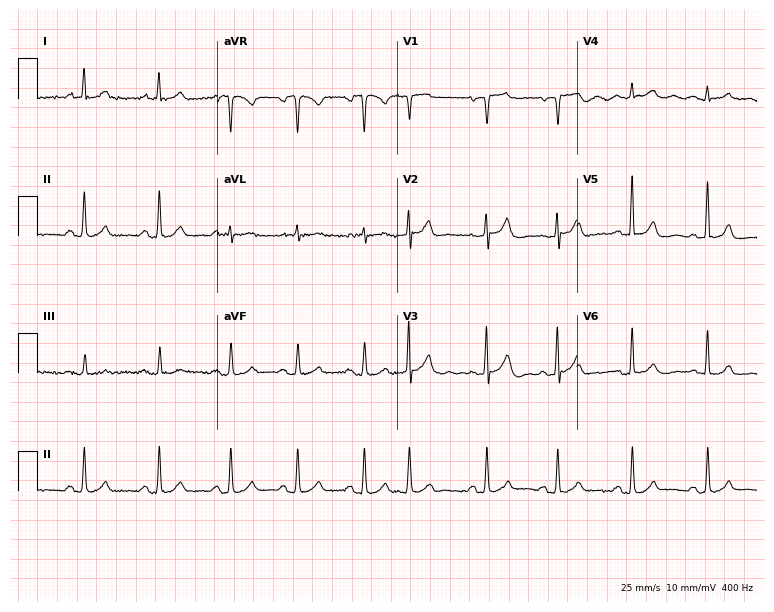
Electrocardiogram (7.3-second recording at 400 Hz), a man, 73 years old. Of the six screened findings (first-degree AV block, right bundle branch block, left bundle branch block, sinus bradycardia, atrial fibrillation, sinus tachycardia), none is recorded.